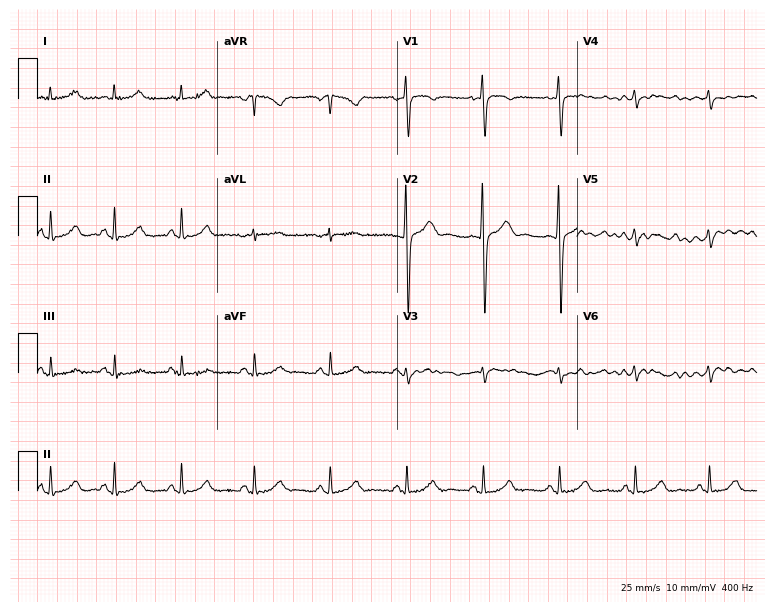
Resting 12-lead electrocardiogram. Patient: a woman, 42 years old. None of these six findings is recorded: first-degree AV block, right bundle branch block, left bundle branch block, sinus bradycardia, atrial fibrillation, sinus tachycardia.